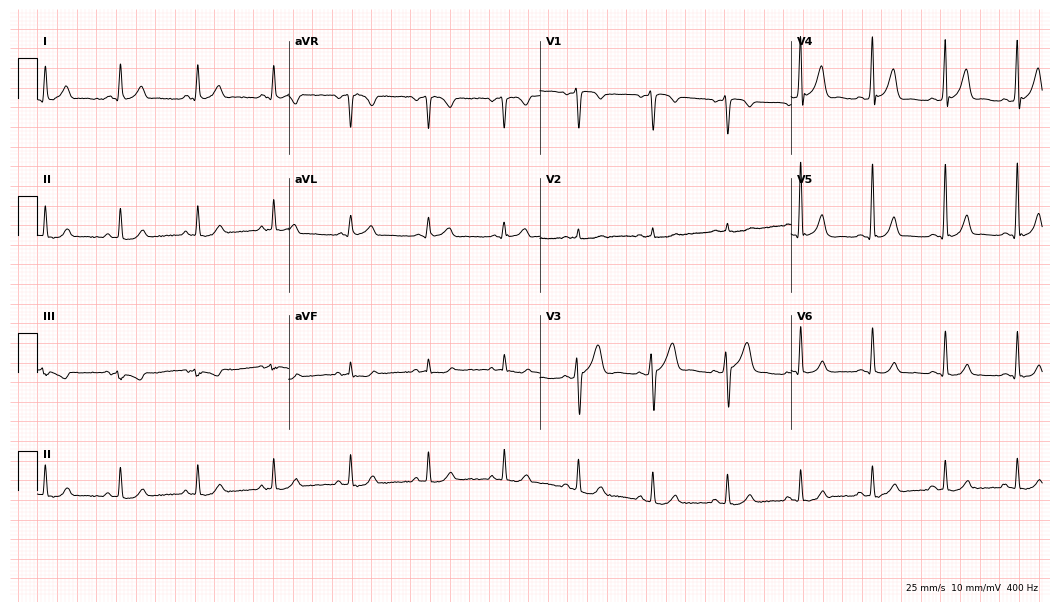
ECG (10.2-second recording at 400 Hz) — a woman, 38 years old. Labelled as a normal ECG.